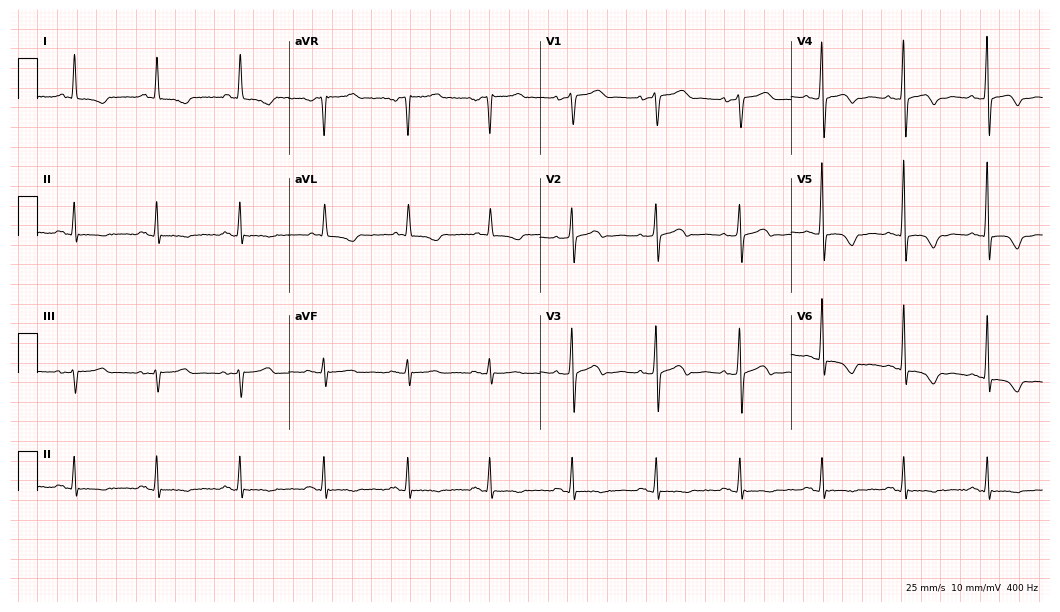
12-lead ECG (10.2-second recording at 400 Hz) from a 77-year-old female patient. Screened for six findings — first-degree AV block, right bundle branch block, left bundle branch block, sinus bradycardia, atrial fibrillation, sinus tachycardia — none is recorded. Only these six findings were labelled.